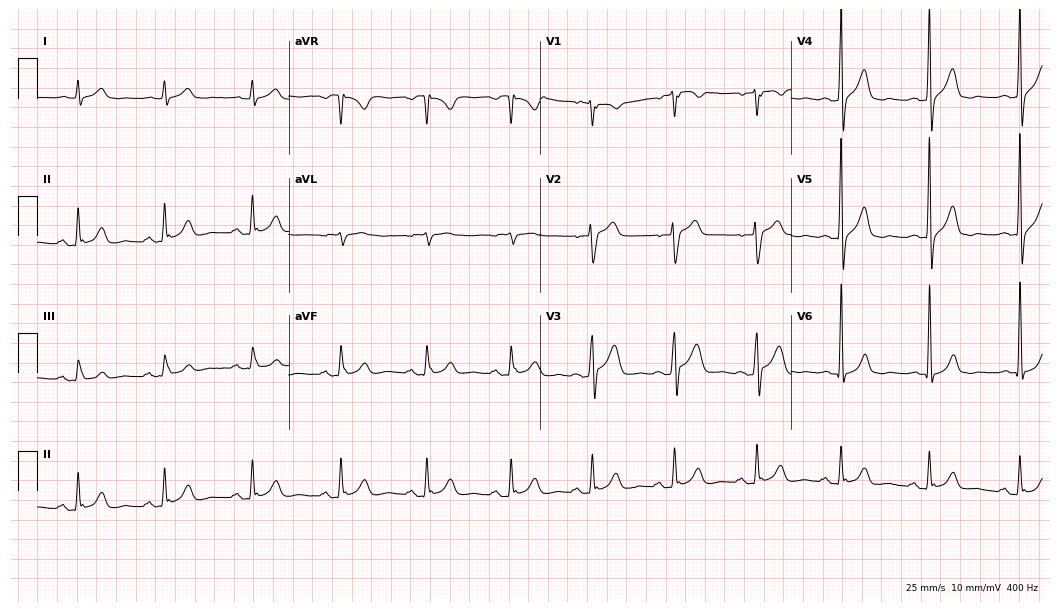
12-lead ECG from a man, 50 years old. No first-degree AV block, right bundle branch block, left bundle branch block, sinus bradycardia, atrial fibrillation or sinus tachycardia recorded for this tracing. Only these six findings were labelled.